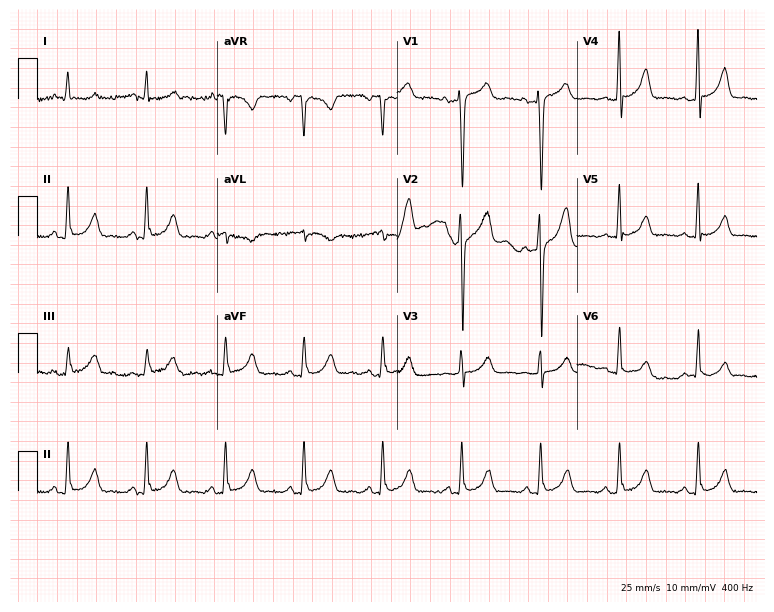
ECG (7.3-second recording at 400 Hz) — a 40-year-old man. Screened for six findings — first-degree AV block, right bundle branch block (RBBB), left bundle branch block (LBBB), sinus bradycardia, atrial fibrillation (AF), sinus tachycardia — none is recorded.